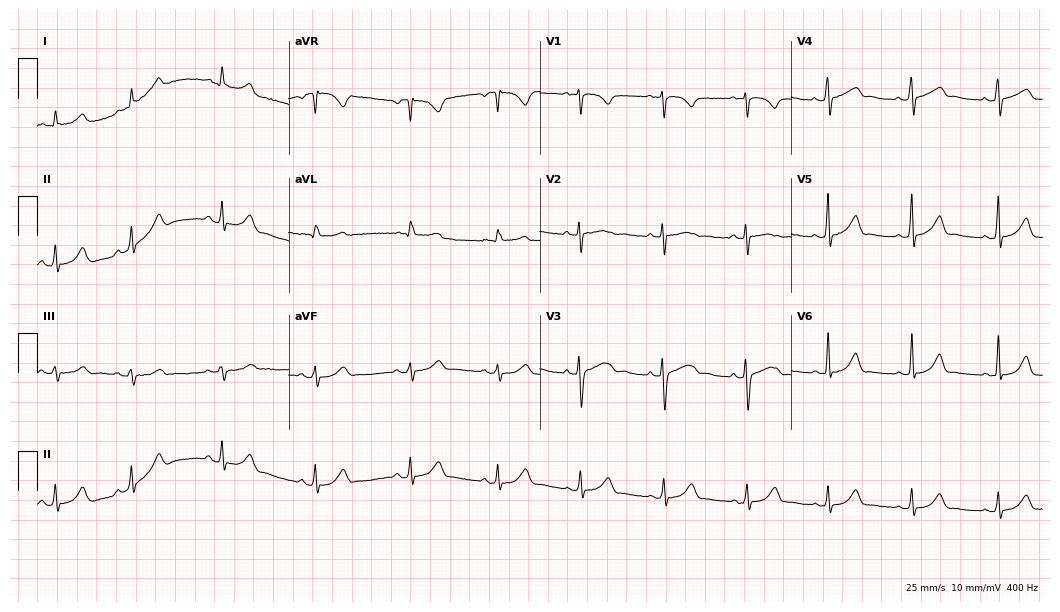
Resting 12-lead electrocardiogram. Patient: a female, 29 years old. Read as a normal ECG.